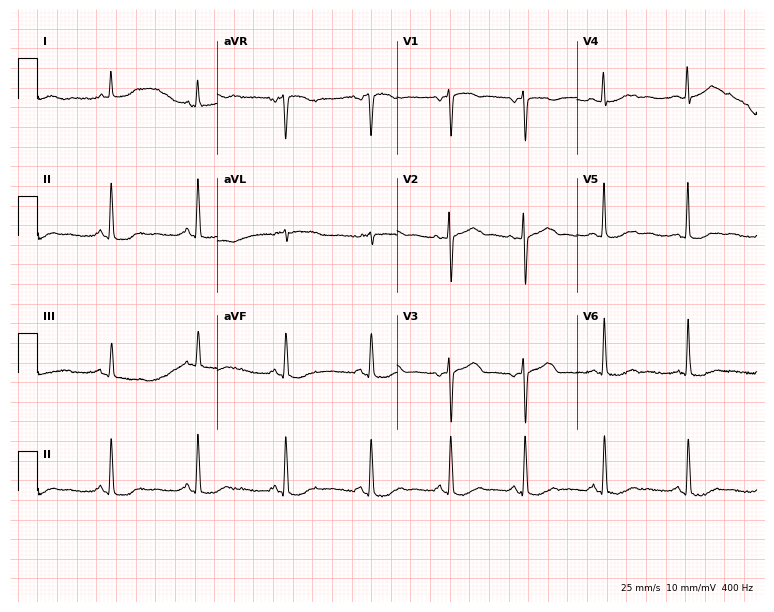
Electrocardiogram, a female, 77 years old. Overall reading on record: normal ECG.